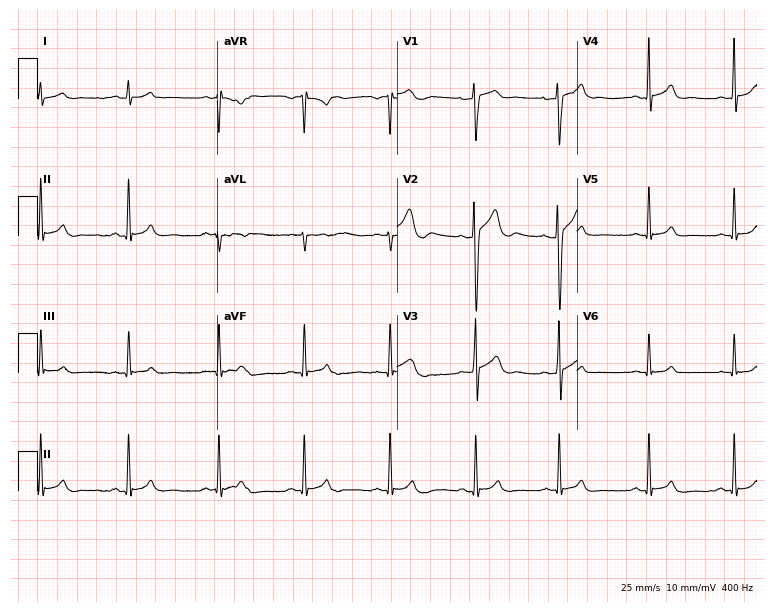
Resting 12-lead electrocardiogram. Patient: a male, 19 years old. Read as a normal ECG.